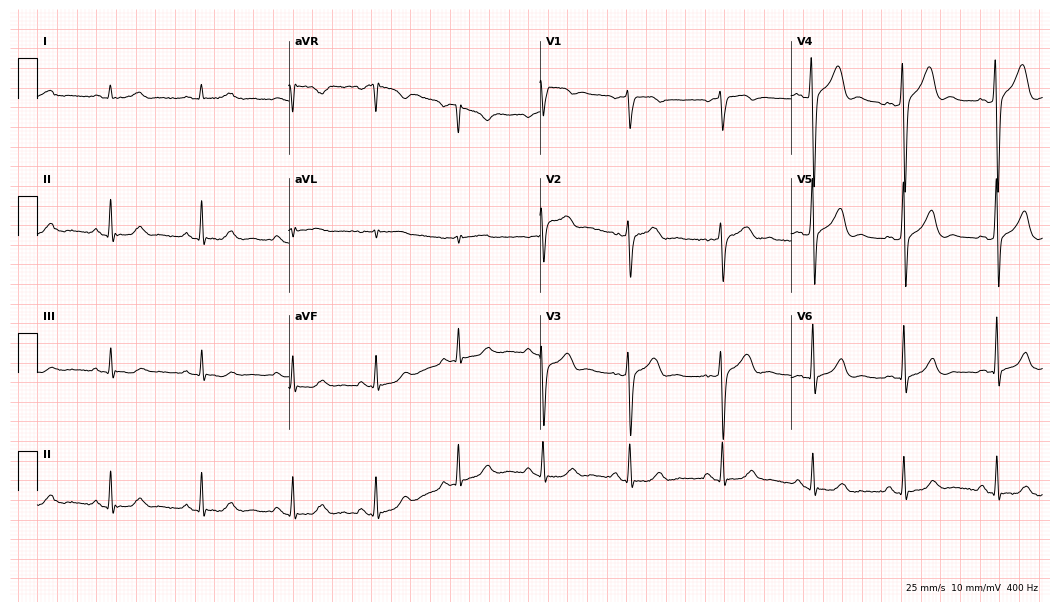
Resting 12-lead electrocardiogram (10.2-second recording at 400 Hz). Patient: a 54-year-old male. Read as a normal ECG.